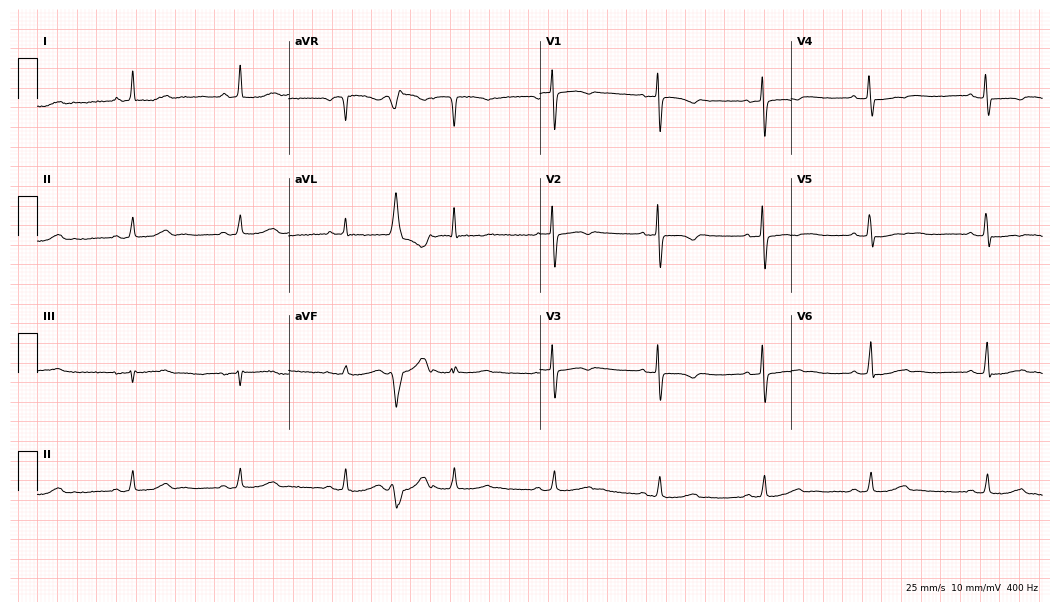
Resting 12-lead electrocardiogram (10.2-second recording at 400 Hz). Patient: a female, 72 years old. Read as a normal ECG.